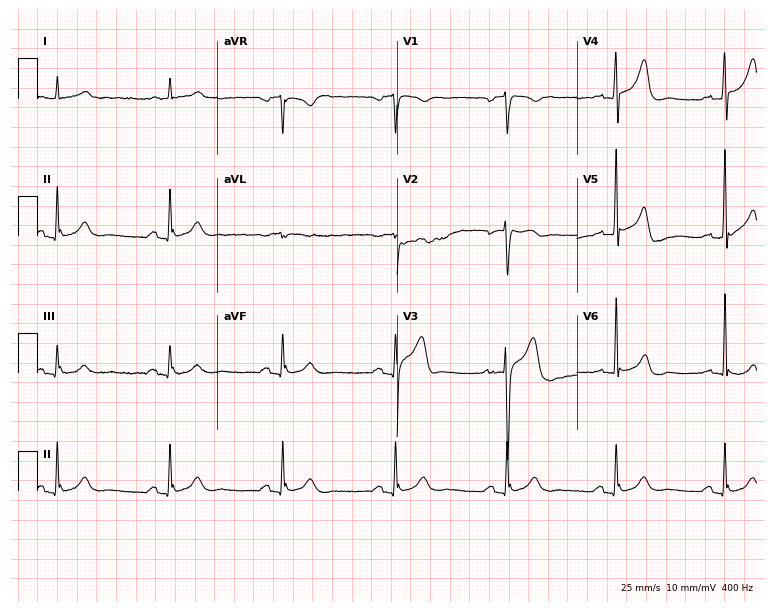
12-lead ECG (7.3-second recording at 400 Hz) from an 82-year-old male. Screened for six findings — first-degree AV block, right bundle branch block (RBBB), left bundle branch block (LBBB), sinus bradycardia, atrial fibrillation (AF), sinus tachycardia — none is recorded.